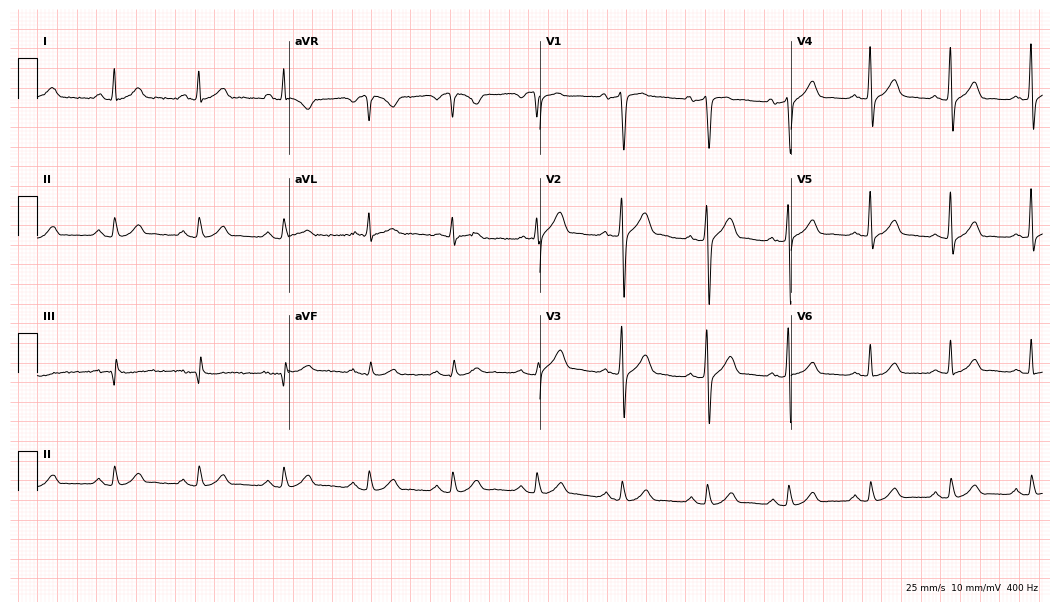
12-lead ECG from a 41-year-old male patient (10.2-second recording at 400 Hz). Recorded interpretation: within normal limits.